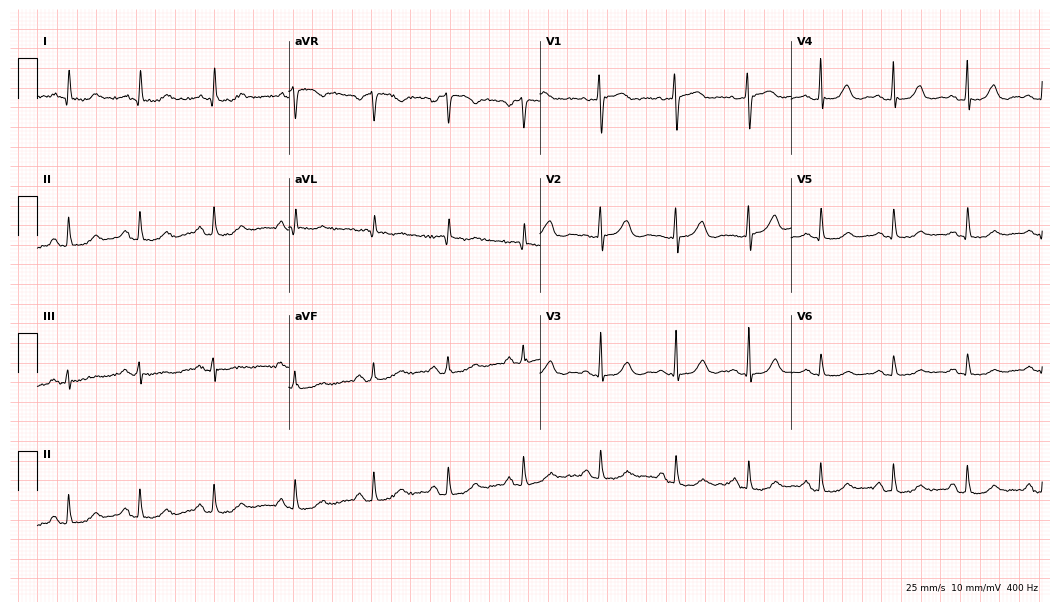
Standard 12-lead ECG recorded from a female patient, 71 years old. Read as a normal ECG.